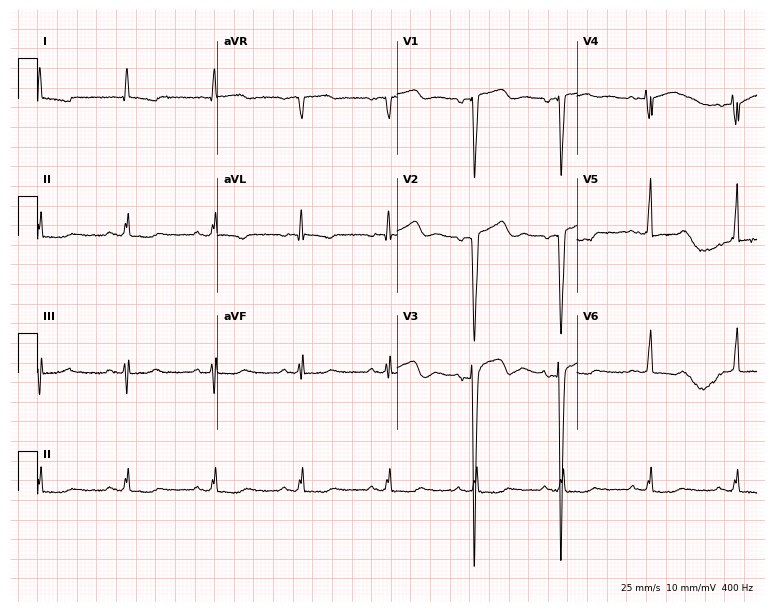
Resting 12-lead electrocardiogram. Patient: a man, 77 years old. None of these six findings is recorded: first-degree AV block, right bundle branch block, left bundle branch block, sinus bradycardia, atrial fibrillation, sinus tachycardia. Only these six findings were labelled.